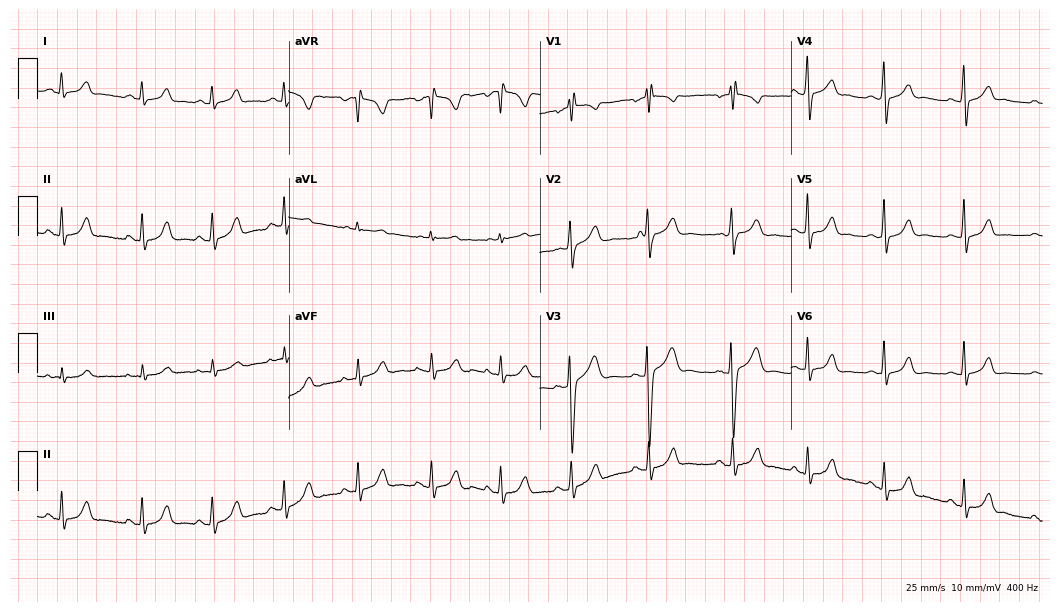
12-lead ECG from a 20-year-old female patient. No first-degree AV block, right bundle branch block, left bundle branch block, sinus bradycardia, atrial fibrillation or sinus tachycardia recorded for this tracing. Only these six findings were labelled.